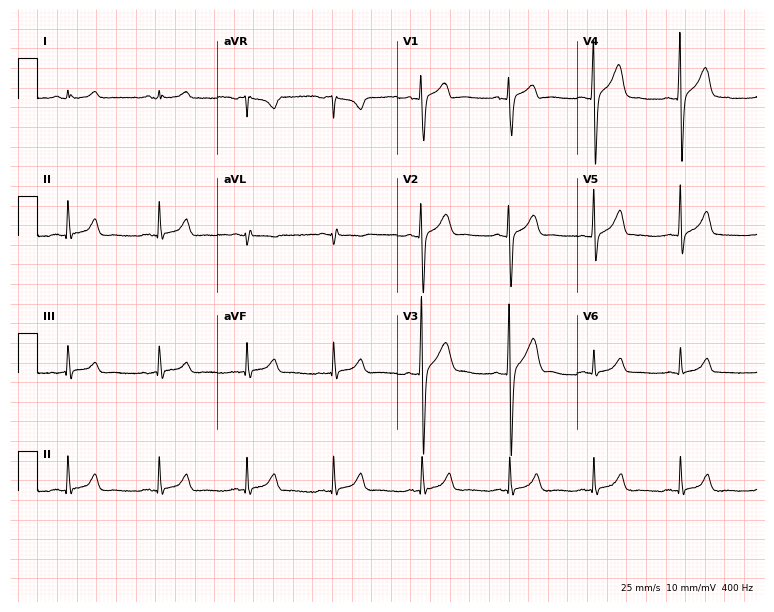
Resting 12-lead electrocardiogram (7.3-second recording at 400 Hz). Patient: a male, 30 years old. None of these six findings is recorded: first-degree AV block, right bundle branch block, left bundle branch block, sinus bradycardia, atrial fibrillation, sinus tachycardia.